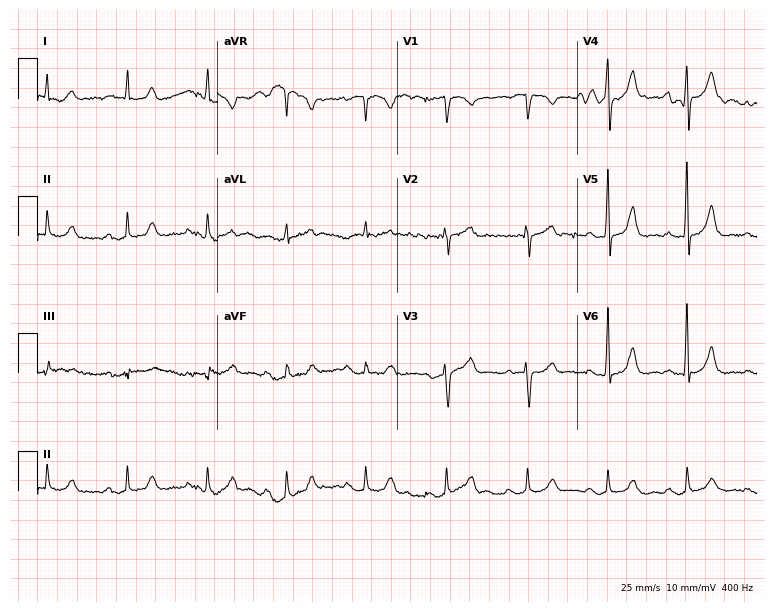
12-lead ECG from a male patient, 70 years old. No first-degree AV block, right bundle branch block, left bundle branch block, sinus bradycardia, atrial fibrillation or sinus tachycardia recorded for this tracing.